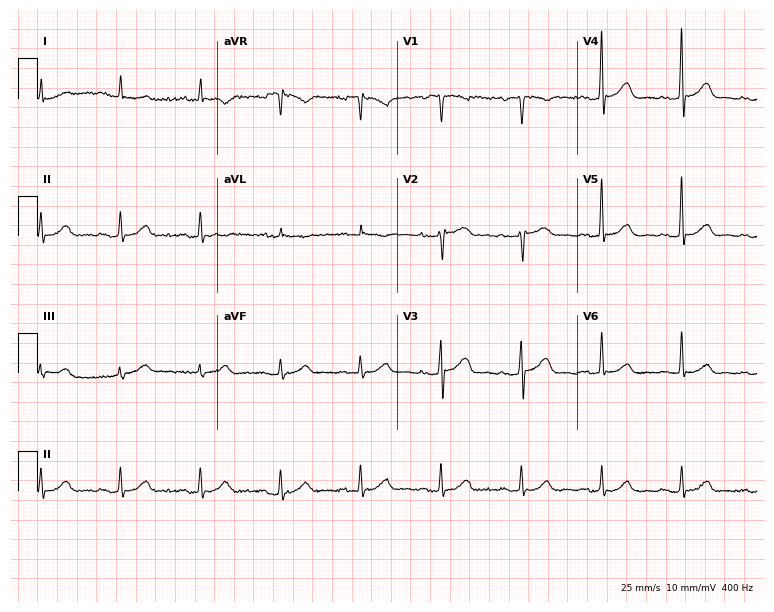
12-lead ECG from a male patient, 57 years old. Screened for six findings — first-degree AV block, right bundle branch block, left bundle branch block, sinus bradycardia, atrial fibrillation, sinus tachycardia — none is recorded.